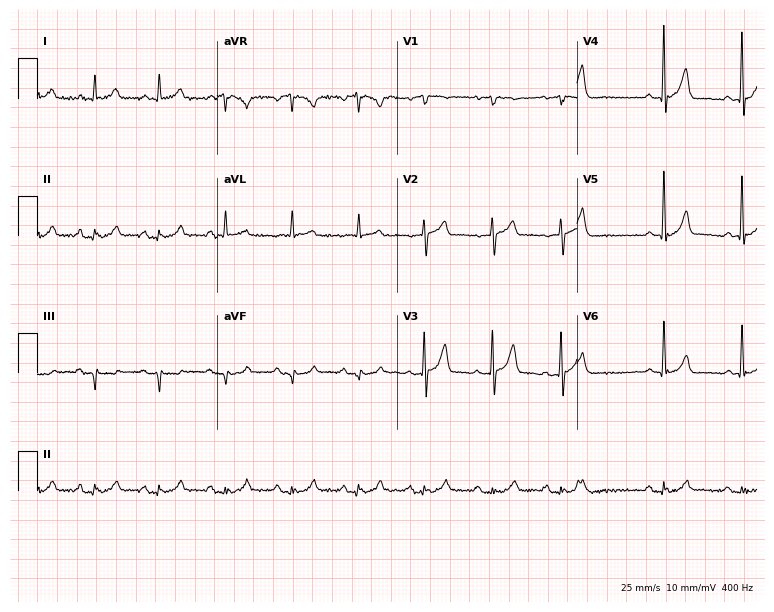
Standard 12-lead ECG recorded from a 75-year-old man. None of these six findings is recorded: first-degree AV block, right bundle branch block, left bundle branch block, sinus bradycardia, atrial fibrillation, sinus tachycardia. Only these six findings were labelled.